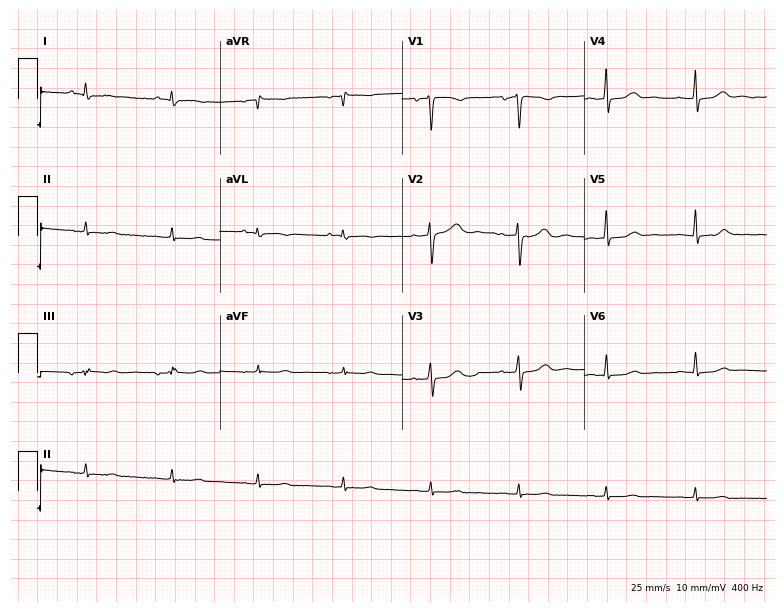
Standard 12-lead ECG recorded from a 65-year-old female. Read as a normal ECG.